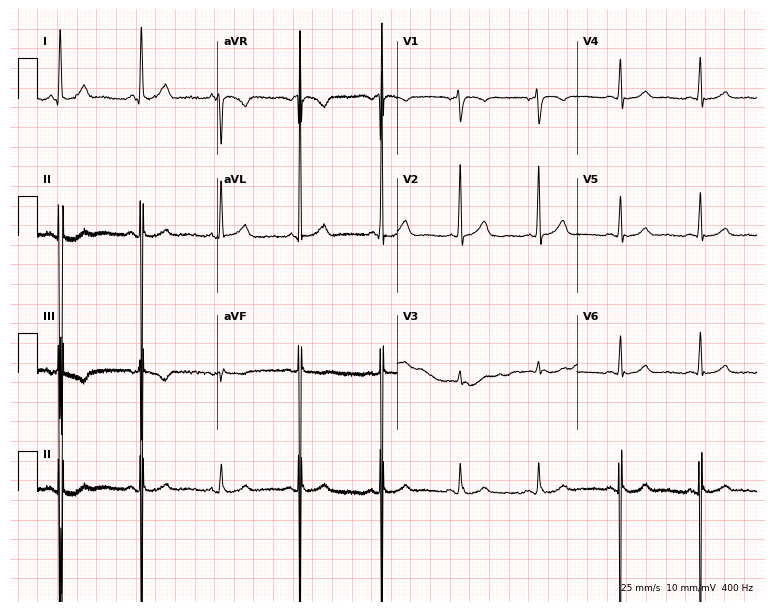
Standard 12-lead ECG recorded from a 59-year-old female patient (7.3-second recording at 400 Hz). Read as a normal ECG.